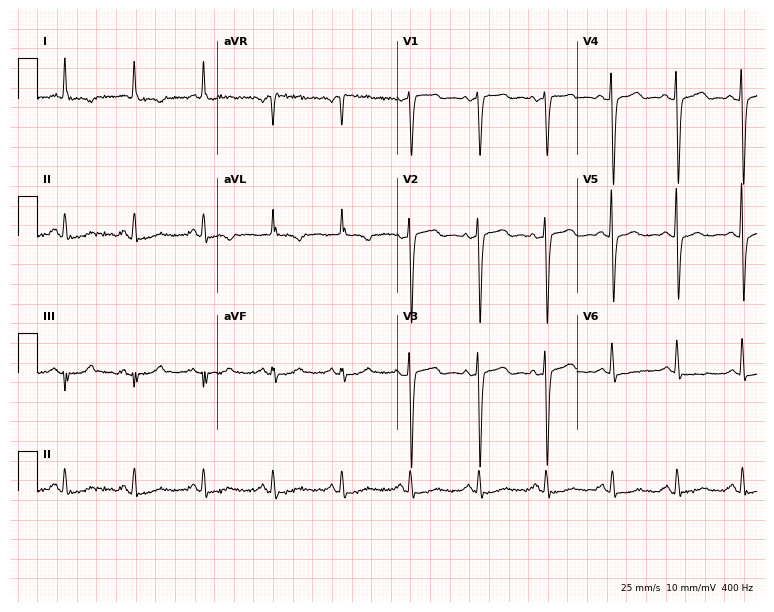
12-lead ECG (7.3-second recording at 400 Hz) from an 84-year-old female. Screened for six findings — first-degree AV block, right bundle branch block, left bundle branch block, sinus bradycardia, atrial fibrillation, sinus tachycardia — none is recorded. Other findings, if any, are not listed.